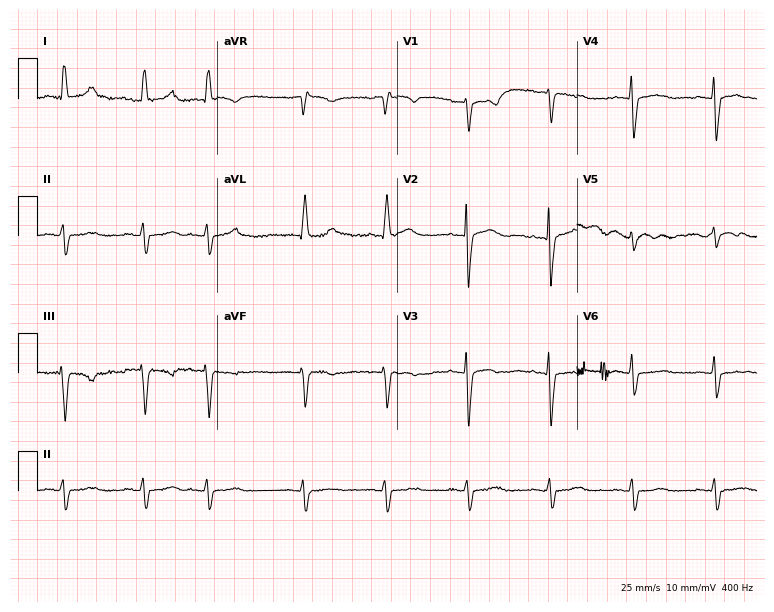
12-lead ECG (7.3-second recording at 400 Hz) from a woman, 80 years old. Screened for six findings — first-degree AV block, right bundle branch block, left bundle branch block, sinus bradycardia, atrial fibrillation, sinus tachycardia — none is recorded.